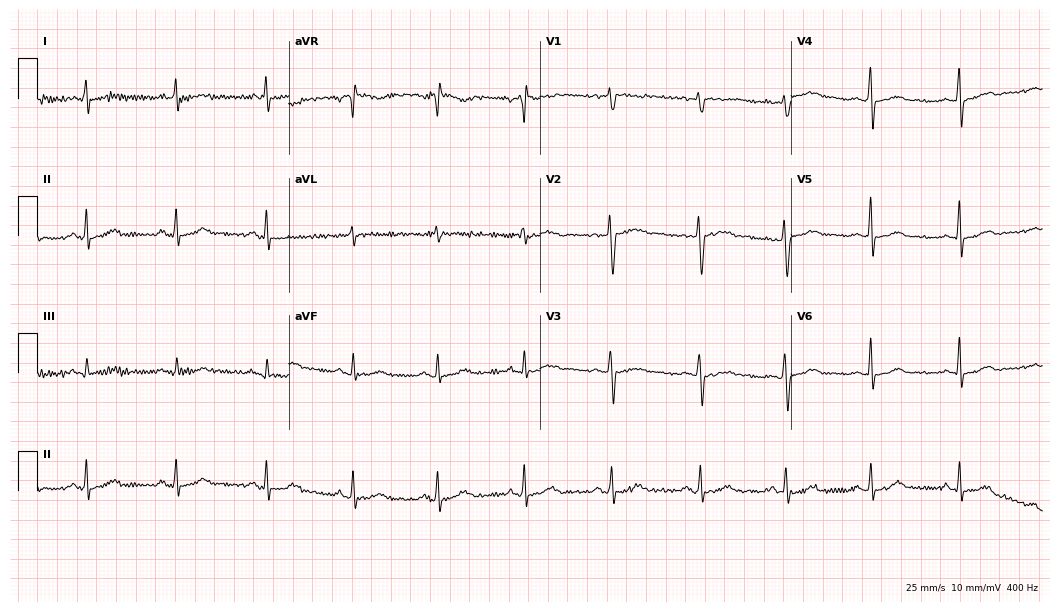
Electrocardiogram, a 44-year-old woman. Overall reading on record: normal ECG.